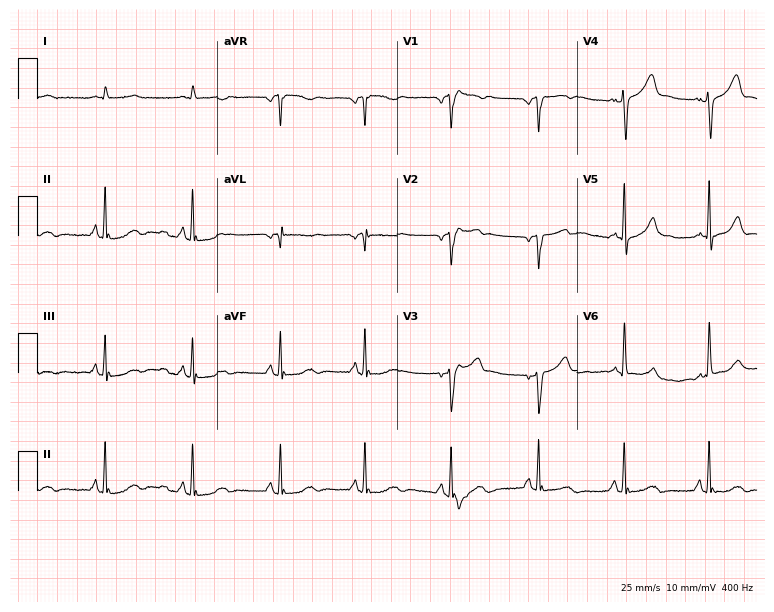
ECG (7.3-second recording at 400 Hz) — a man, 69 years old. Screened for six findings — first-degree AV block, right bundle branch block (RBBB), left bundle branch block (LBBB), sinus bradycardia, atrial fibrillation (AF), sinus tachycardia — none is recorded.